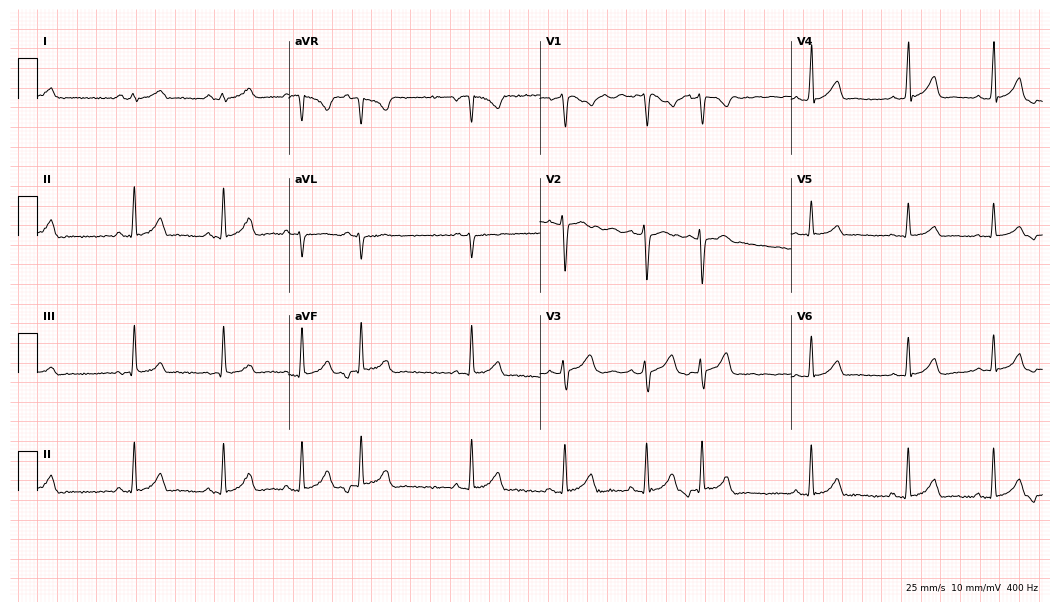
12-lead ECG from a 24-year-old woman. Screened for six findings — first-degree AV block, right bundle branch block, left bundle branch block, sinus bradycardia, atrial fibrillation, sinus tachycardia — none is recorded.